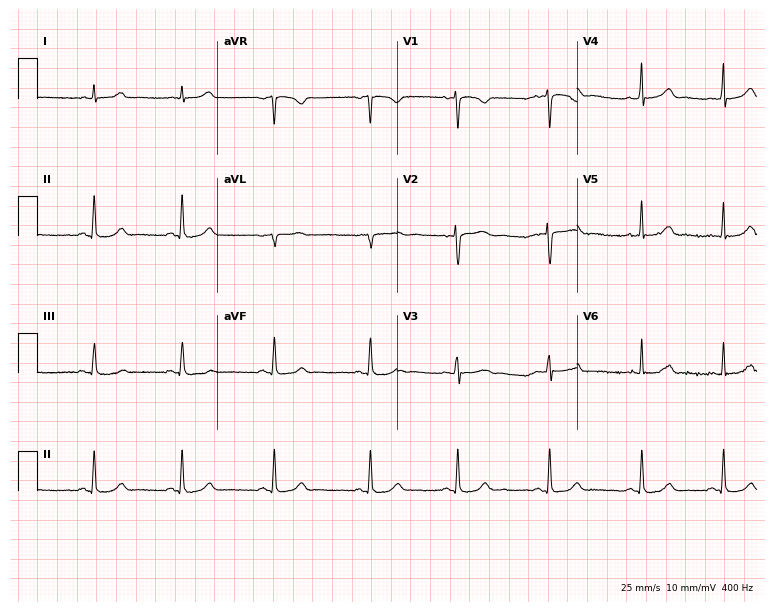
Resting 12-lead electrocardiogram (7.3-second recording at 400 Hz). Patient: a female, 23 years old. Read as a normal ECG.